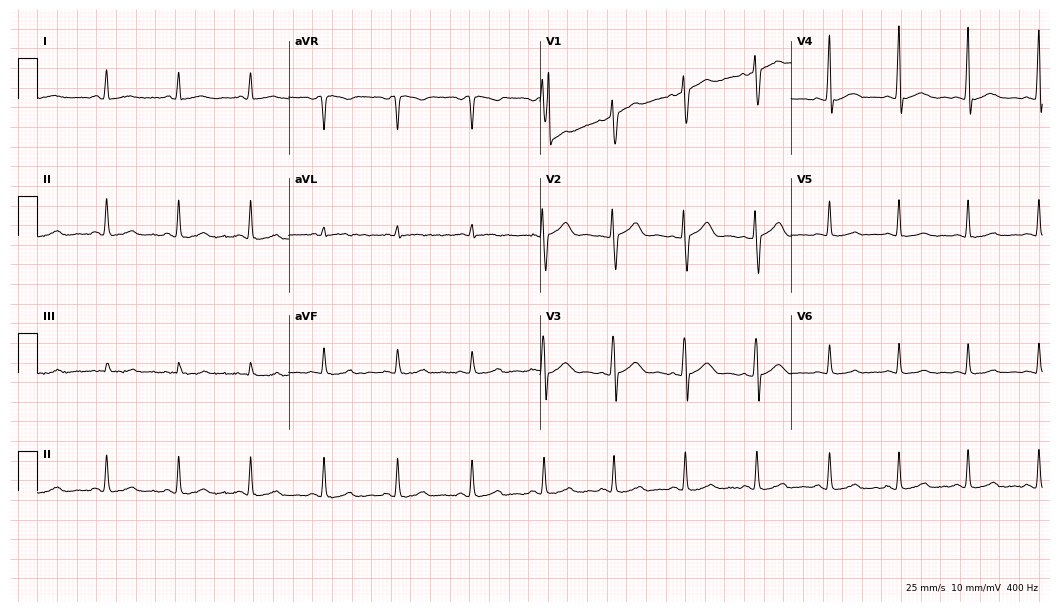
12-lead ECG from a female, 33 years old (10.2-second recording at 400 Hz). No first-degree AV block, right bundle branch block (RBBB), left bundle branch block (LBBB), sinus bradycardia, atrial fibrillation (AF) or sinus tachycardia recorded for this tracing. Only these six findings were labelled.